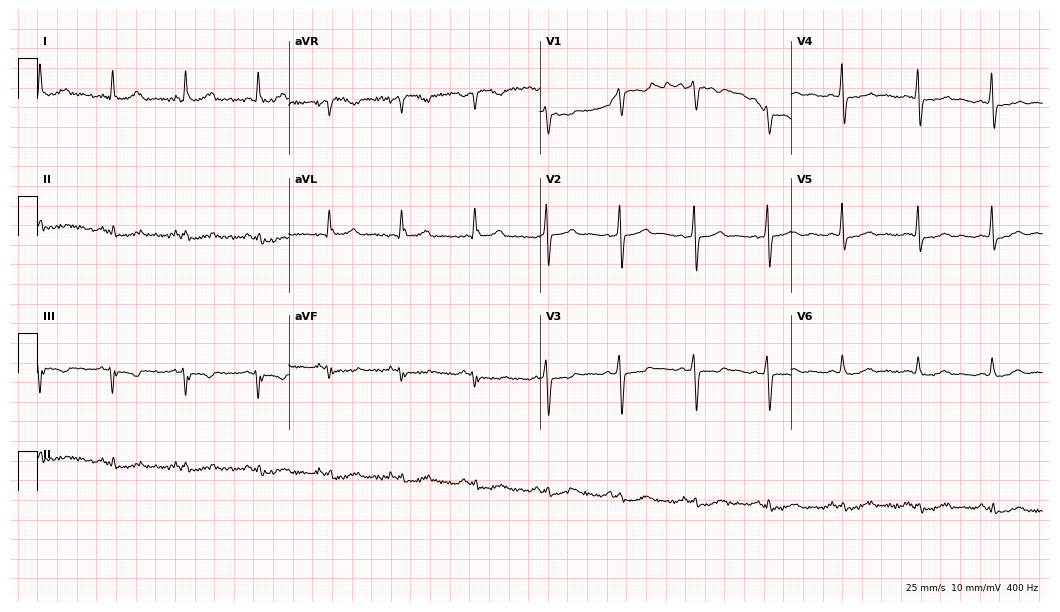
12-lead ECG from a 50-year-old woman. No first-degree AV block, right bundle branch block, left bundle branch block, sinus bradycardia, atrial fibrillation or sinus tachycardia recorded for this tracing.